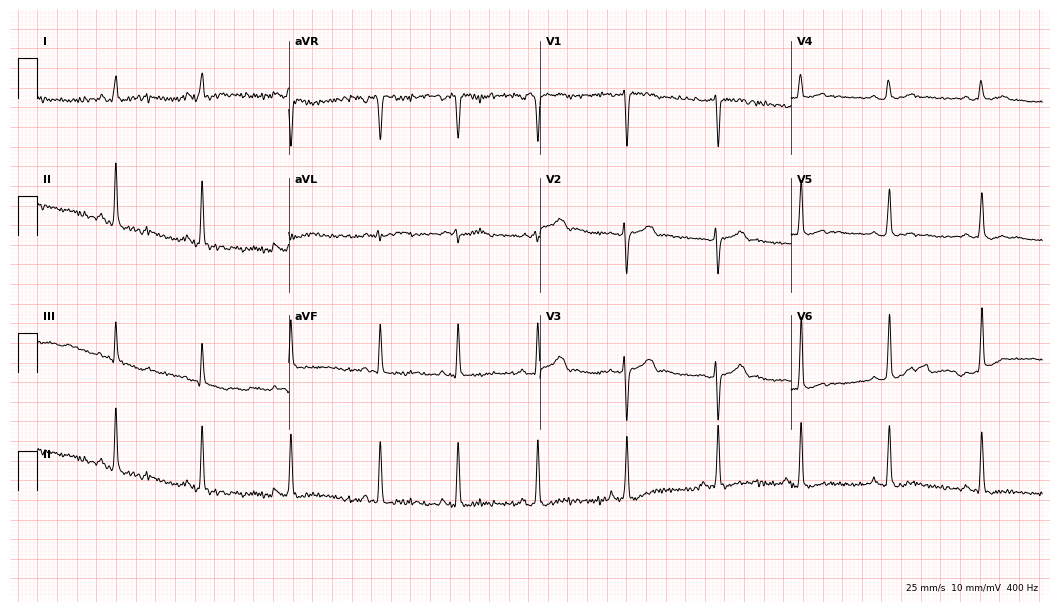
ECG (10.2-second recording at 400 Hz) — a woman, 21 years old. Labelled as a normal ECG.